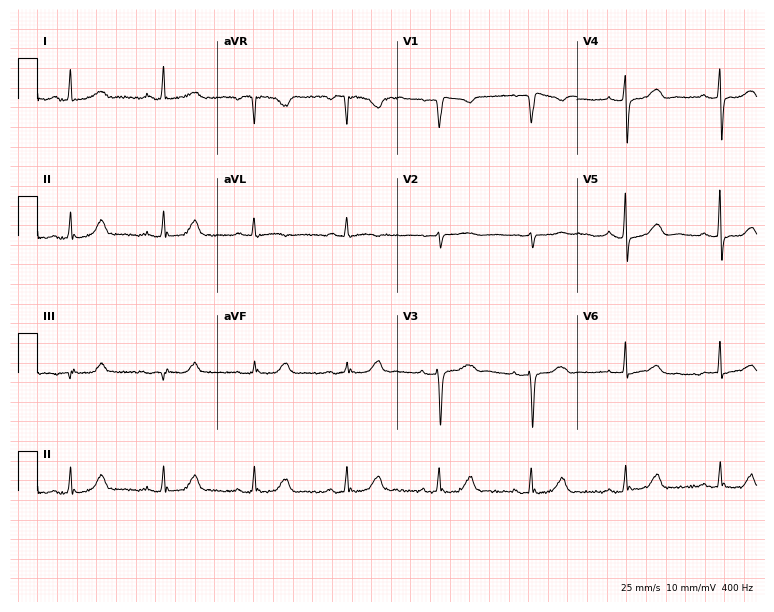
Resting 12-lead electrocardiogram. Patient: a female, 68 years old. Read as a normal ECG.